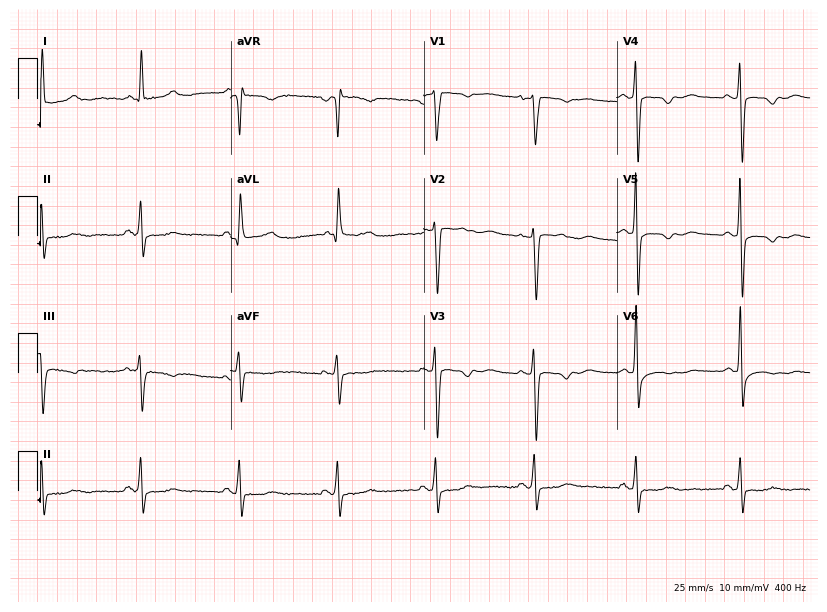
Electrocardiogram (7.9-second recording at 400 Hz), a female patient, 66 years old. Of the six screened findings (first-degree AV block, right bundle branch block, left bundle branch block, sinus bradycardia, atrial fibrillation, sinus tachycardia), none is recorded. Other findings, if any, are not listed.